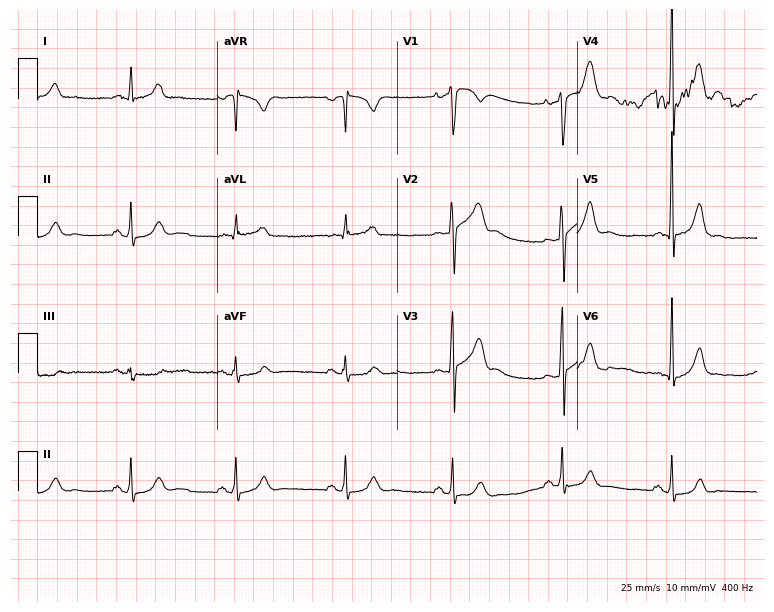
12-lead ECG (7.3-second recording at 400 Hz) from a 48-year-old man. Labelled as a normal ECG.